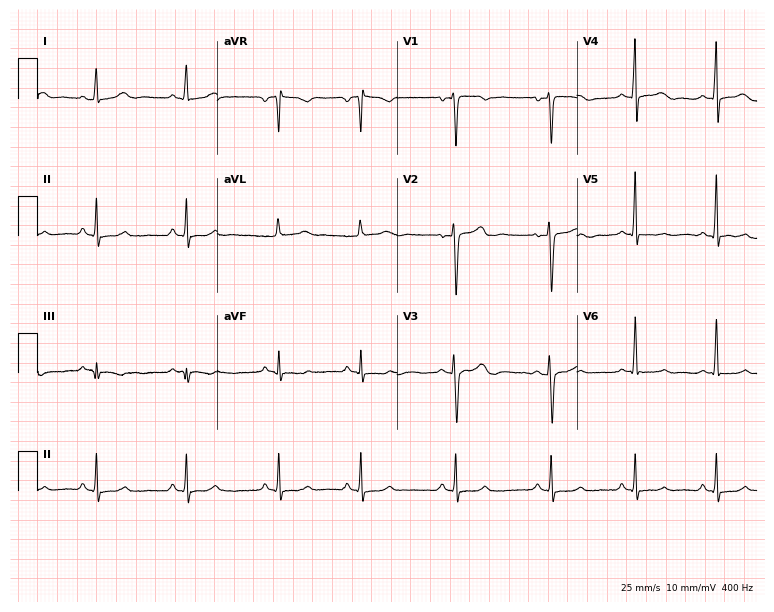
12-lead ECG from a 44-year-old female patient (7.3-second recording at 400 Hz). No first-degree AV block, right bundle branch block, left bundle branch block, sinus bradycardia, atrial fibrillation or sinus tachycardia recorded for this tracing.